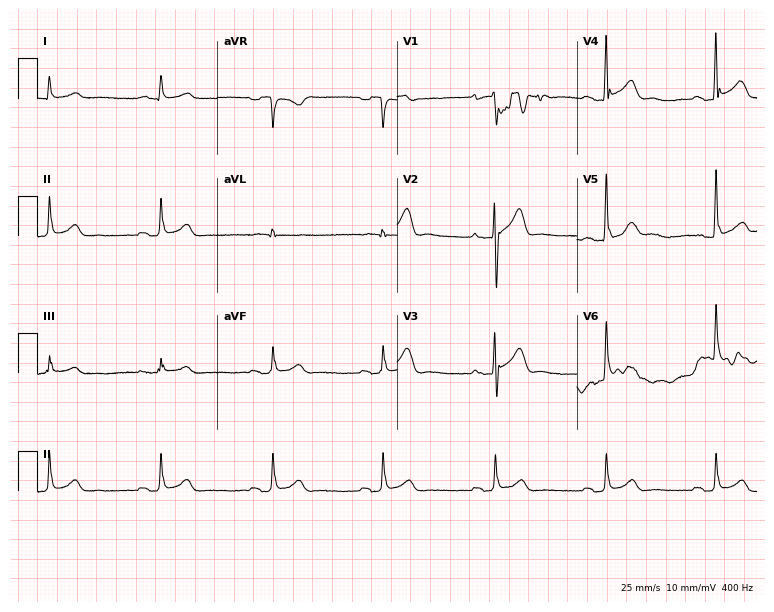
Resting 12-lead electrocardiogram. Patient: a male, 66 years old. None of these six findings is recorded: first-degree AV block, right bundle branch block, left bundle branch block, sinus bradycardia, atrial fibrillation, sinus tachycardia.